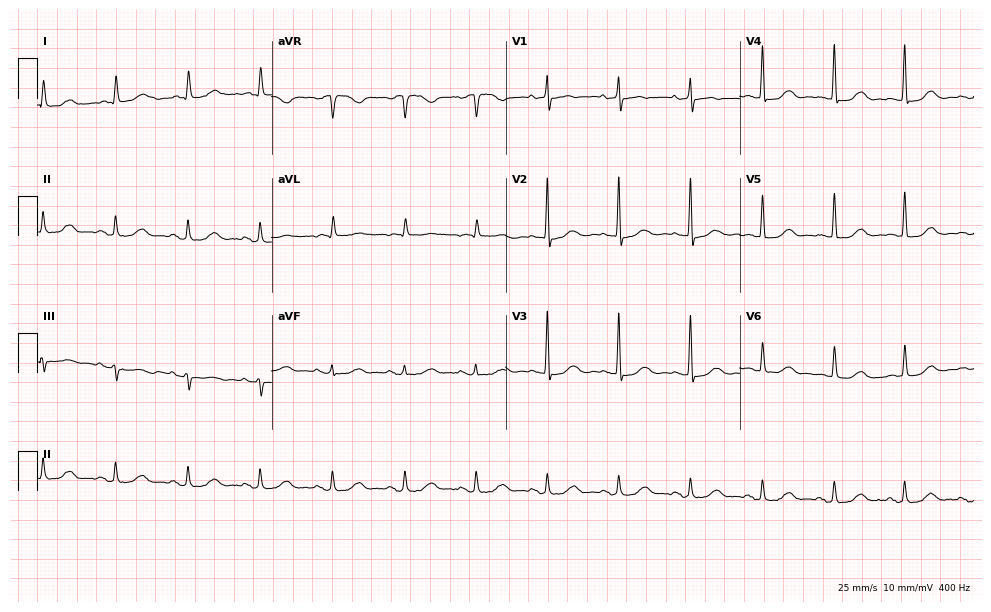
12-lead ECG from an 81-year-old woman (9.5-second recording at 400 Hz). Recorded interpretation: within normal limits.